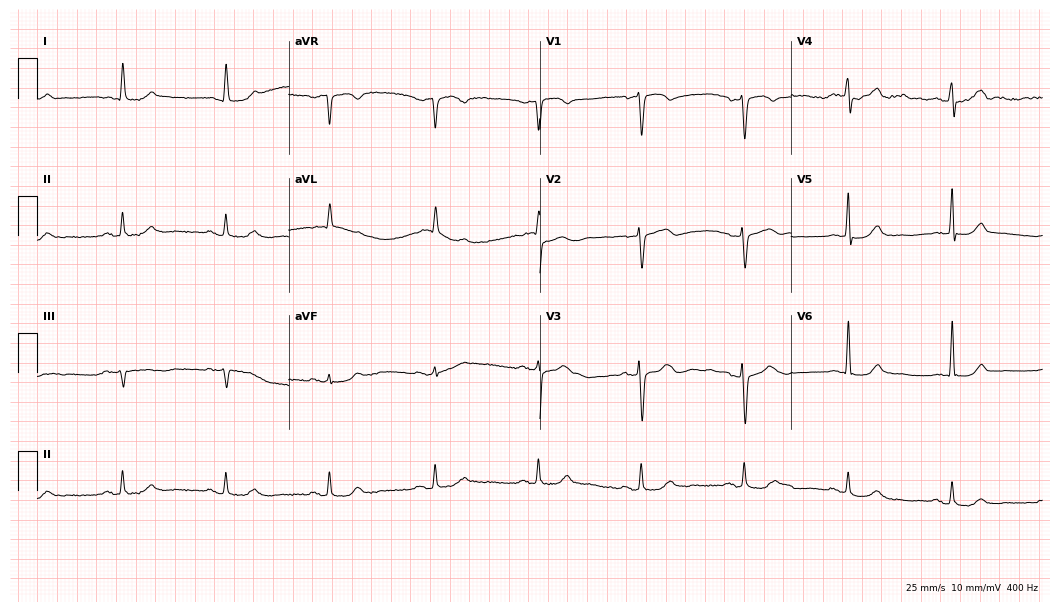
Standard 12-lead ECG recorded from a female patient, 76 years old. None of these six findings is recorded: first-degree AV block, right bundle branch block, left bundle branch block, sinus bradycardia, atrial fibrillation, sinus tachycardia. Findings outside these six are not listed.